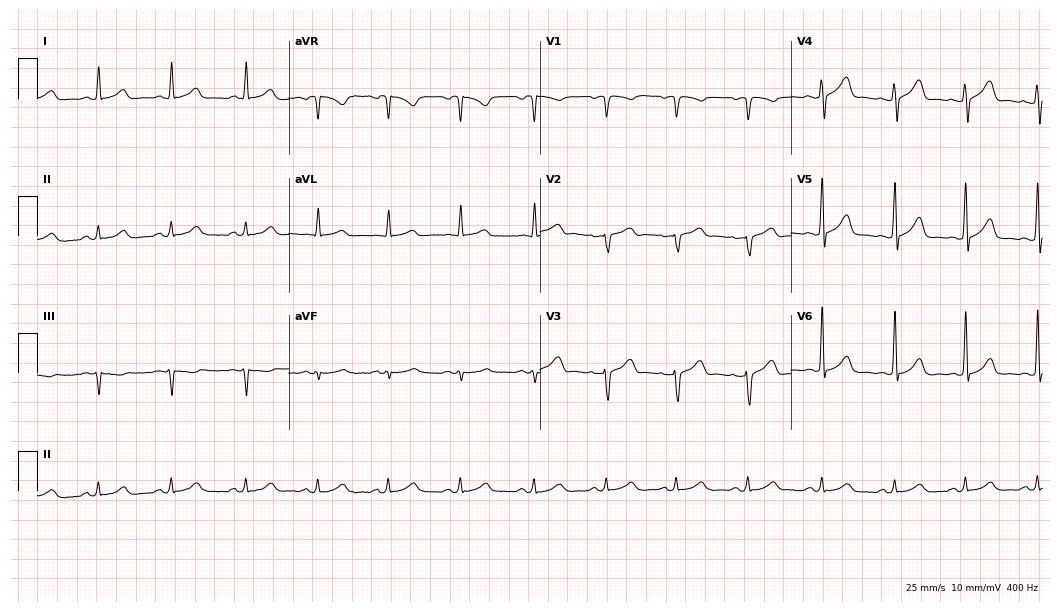
12-lead ECG from a 43-year-old woman (10.2-second recording at 400 Hz). Recorded interpretation: within normal limits.